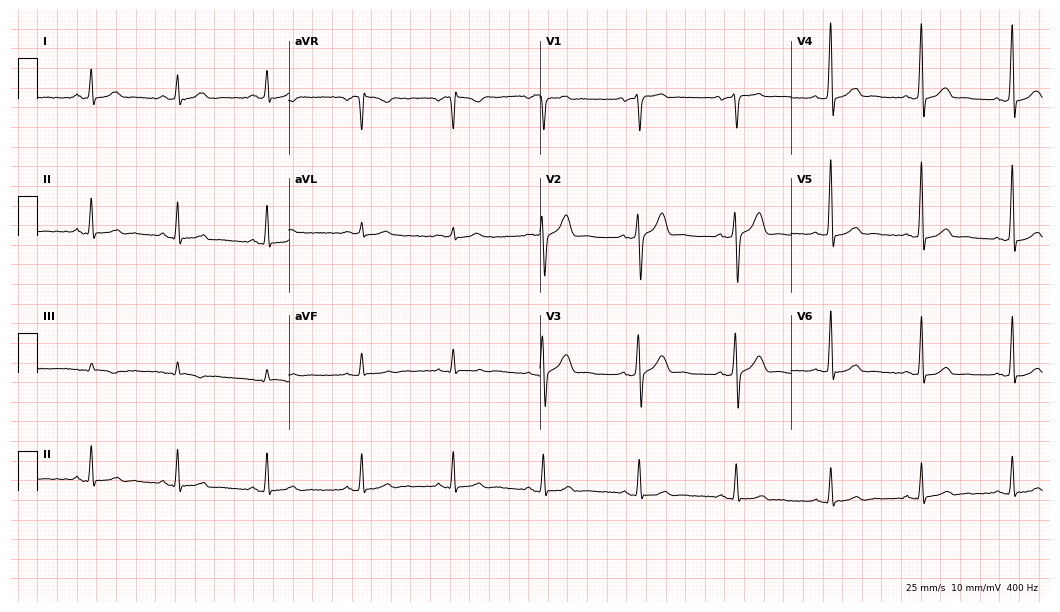
12-lead ECG (10.2-second recording at 400 Hz) from a man, 54 years old. Labelled as a normal ECG.